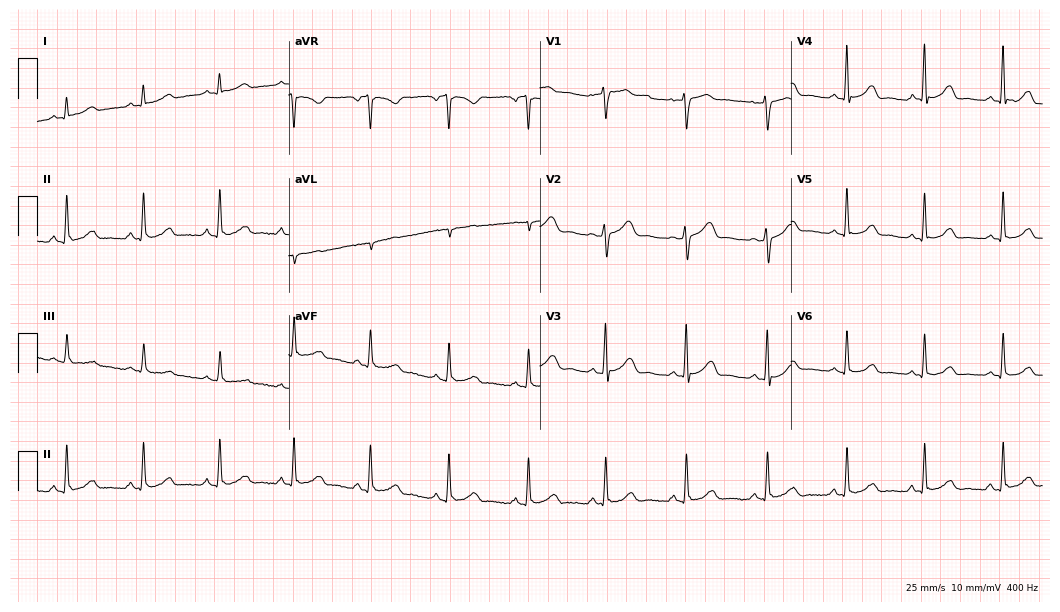
Resting 12-lead electrocardiogram (10.2-second recording at 400 Hz). Patient: a 51-year-old female. Read as a normal ECG.